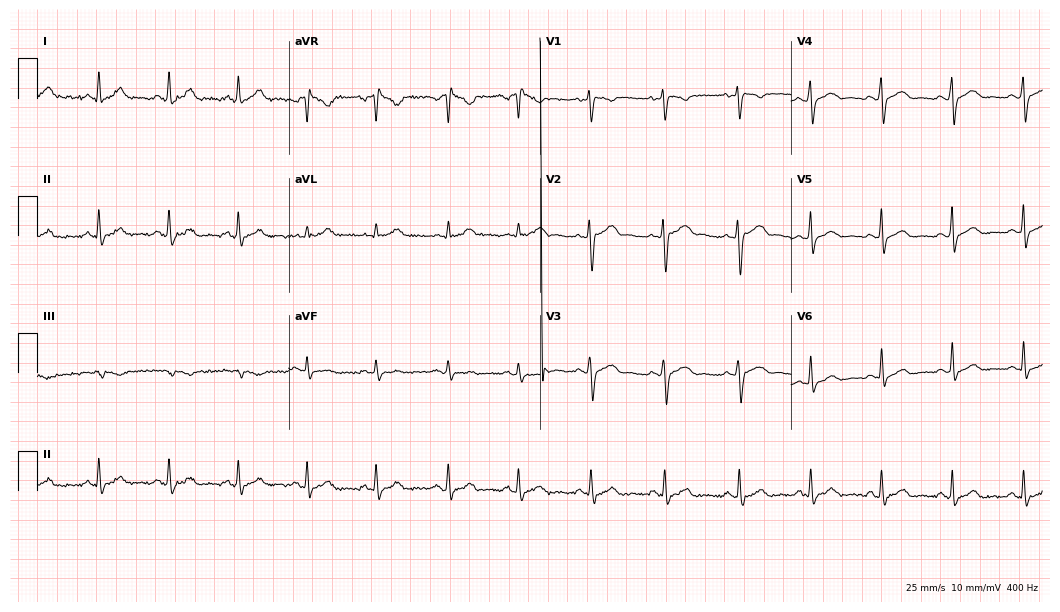
12-lead ECG from a 23-year-old male patient. Labelled as a normal ECG.